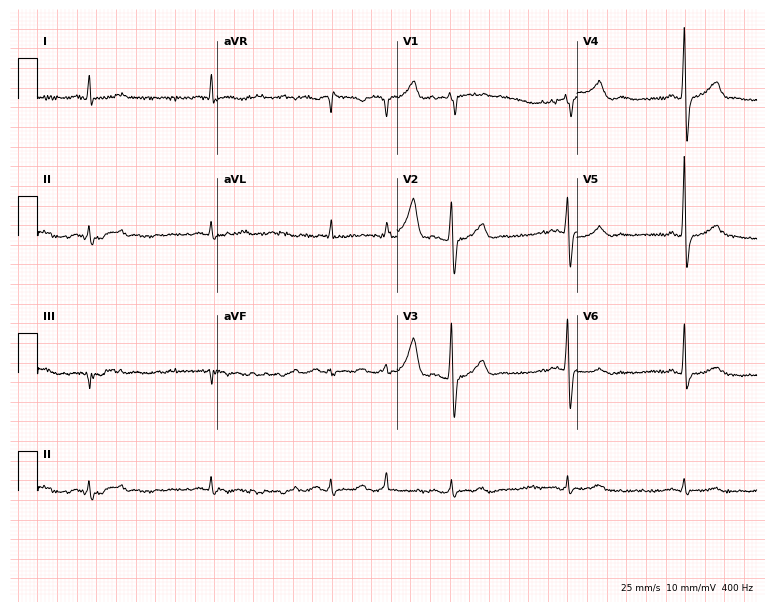
Electrocardiogram, a man, 68 years old. Of the six screened findings (first-degree AV block, right bundle branch block, left bundle branch block, sinus bradycardia, atrial fibrillation, sinus tachycardia), none is recorded. Other findings, if any, are not listed.